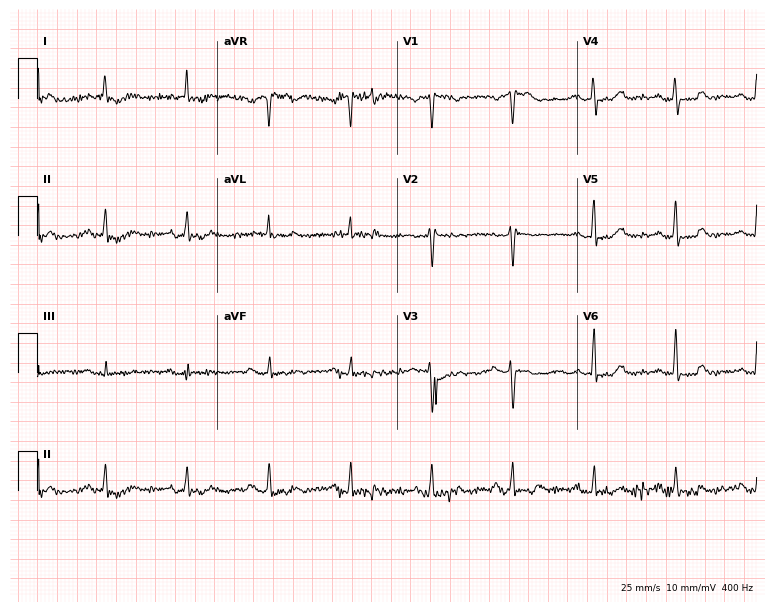
Resting 12-lead electrocardiogram. Patient: a woman, 63 years old. None of these six findings is recorded: first-degree AV block, right bundle branch block, left bundle branch block, sinus bradycardia, atrial fibrillation, sinus tachycardia. Findings outside these six are not listed.